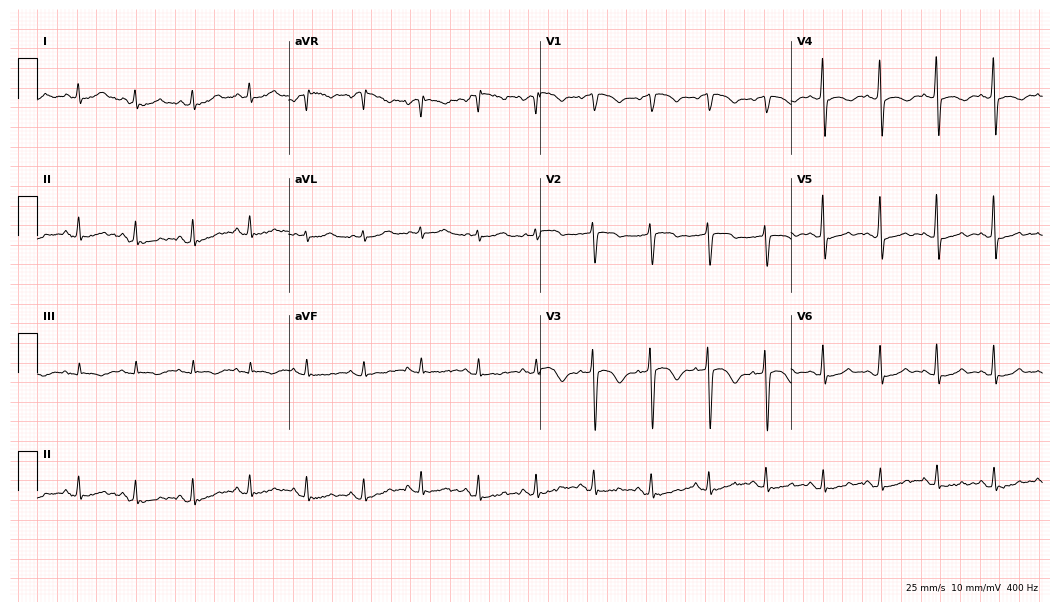
12-lead ECG from a female, 75 years old (10.2-second recording at 400 Hz). Shows sinus tachycardia (a sinus rate of 100 beats per minute or more).